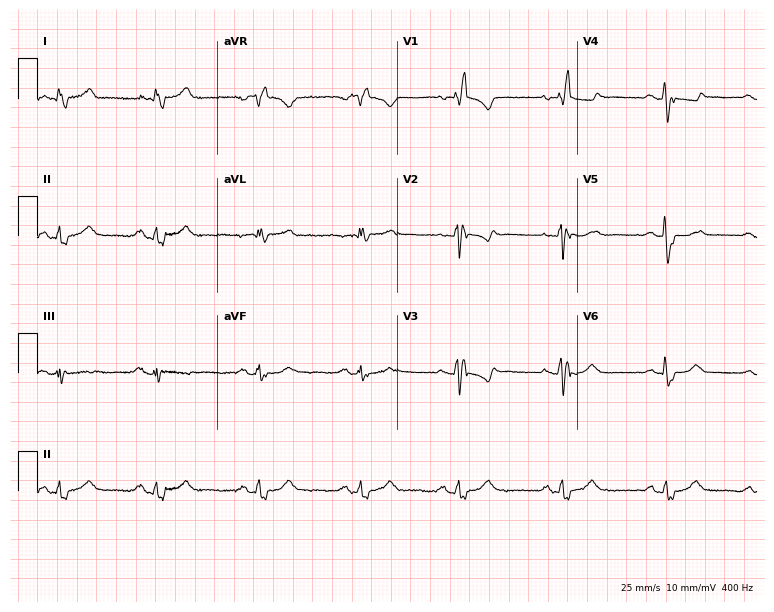
12-lead ECG from a woman, 77 years old. Findings include right bundle branch block (RBBB).